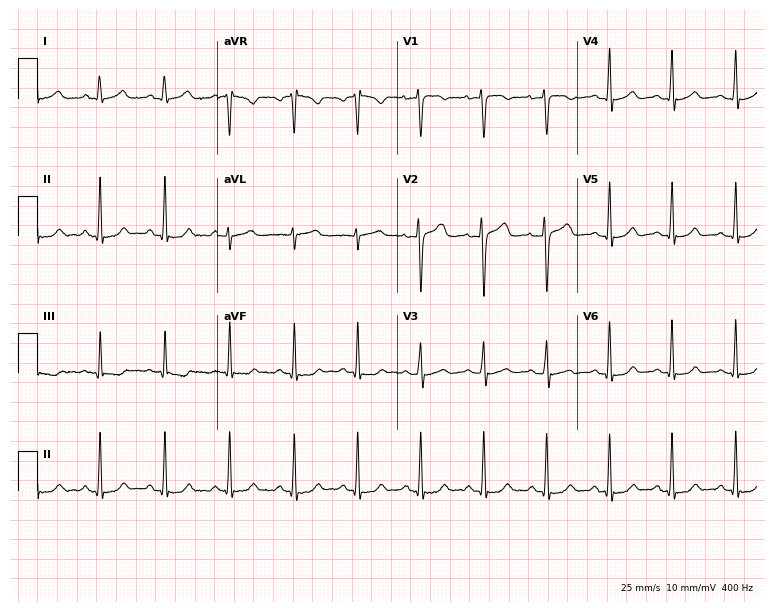
12-lead ECG from a 26-year-old woman. Recorded interpretation: within normal limits.